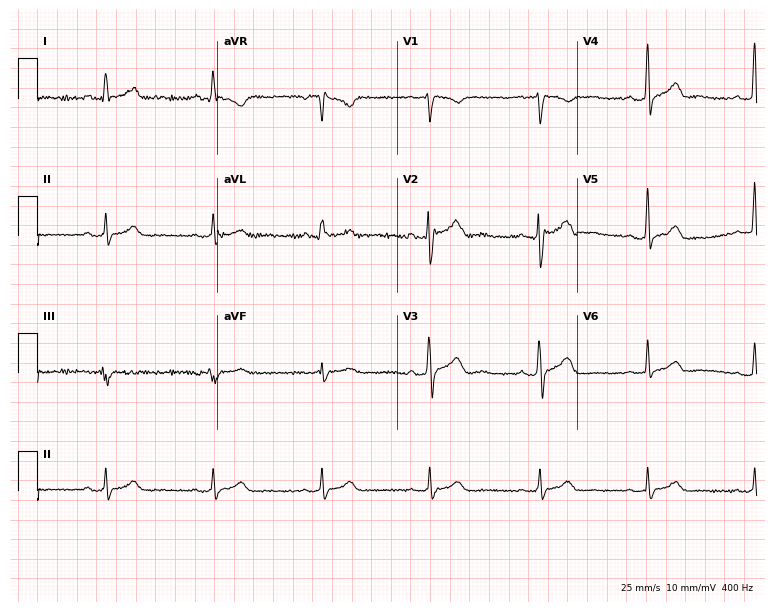
Resting 12-lead electrocardiogram (7.3-second recording at 400 Hz). Patient: a male, 52 years old. Read as a normal ECG.